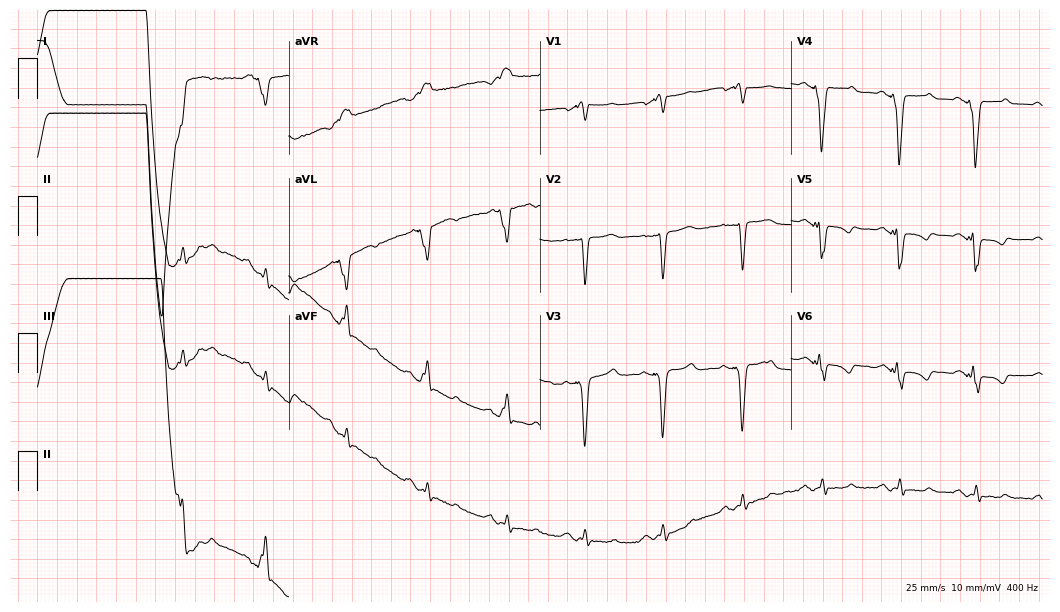
ECG — a female, 54 years old. Screened for six findings — first-degree AV block, right bundle branch block, left bundle branch block, sinus bradycardia, atrial fibrillation, sinus tachycardia — none is recorded.